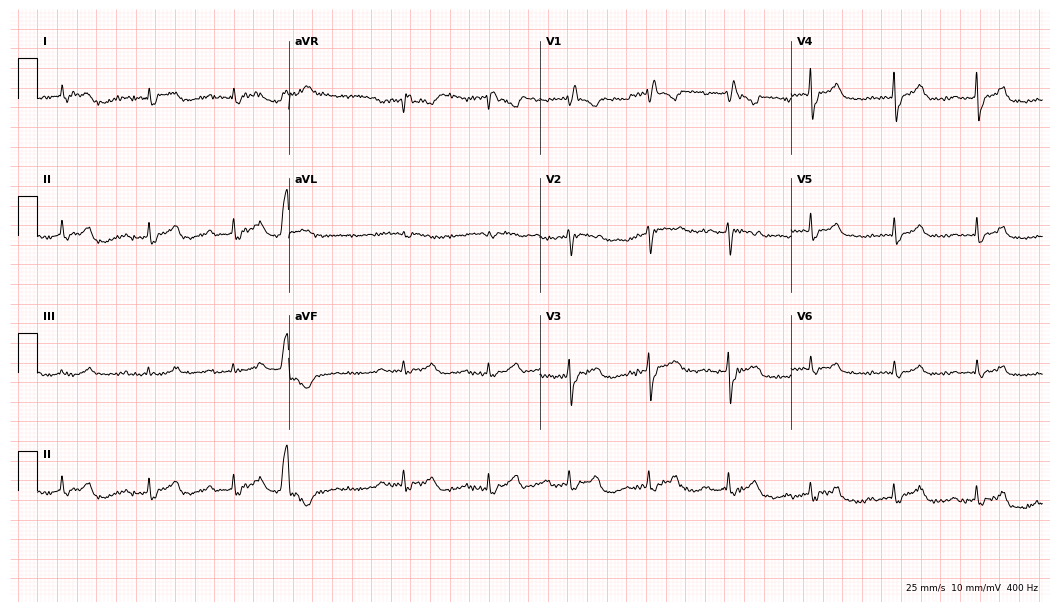
12-lead ECG from a male patient, 85 years old (10.2-second recording at 400 Hz). No first-degree AV block, right bundle branch block, left bundle branch block, sinus bradycardia, atrial fibrillation or sinus tachycardia recorded for this tracing.